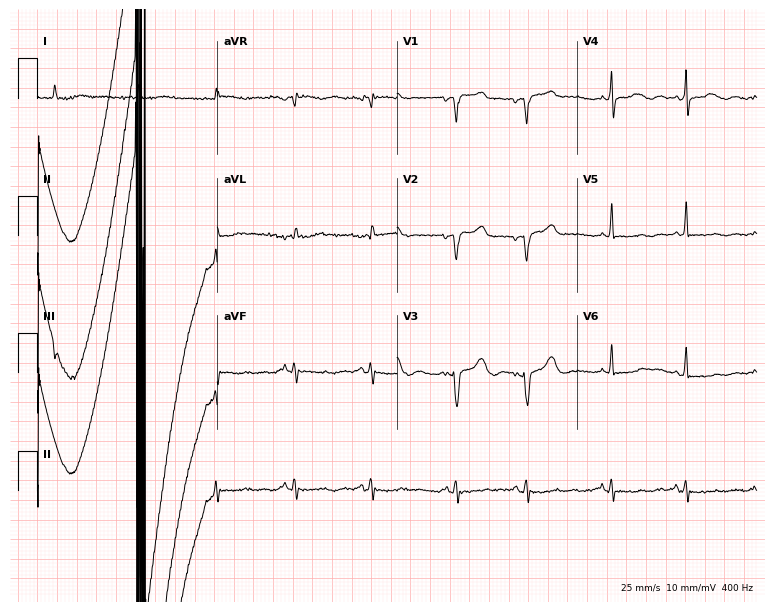
ECG — a 79-year-old female. Screened for six findings — first-degree AV block, right bundle branch block, left bundle branch block, sinus bradycardia, atrial fibrillation, sinus tachycardia — none is recorded. Other findings, if any, are not listed.